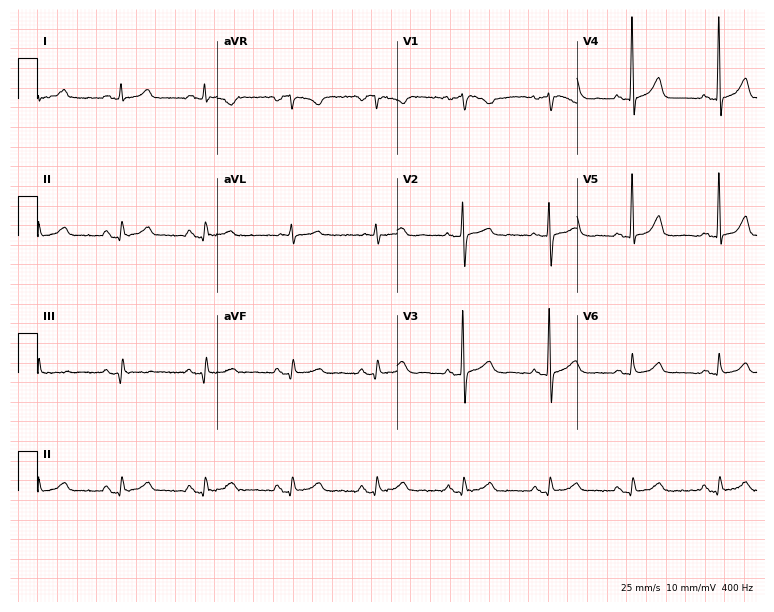
12-lead ECG from a woman, 80 years old (7.3-second recording at 400 Hz). No first-degree AV block, right bundle branch block (RBBB), left bundle branch block (LBBB), sinus bradycardia, atrial fibrillation (AF) or sinus tachycardia recorded for this tracing. Other findings, if any, are not listed.